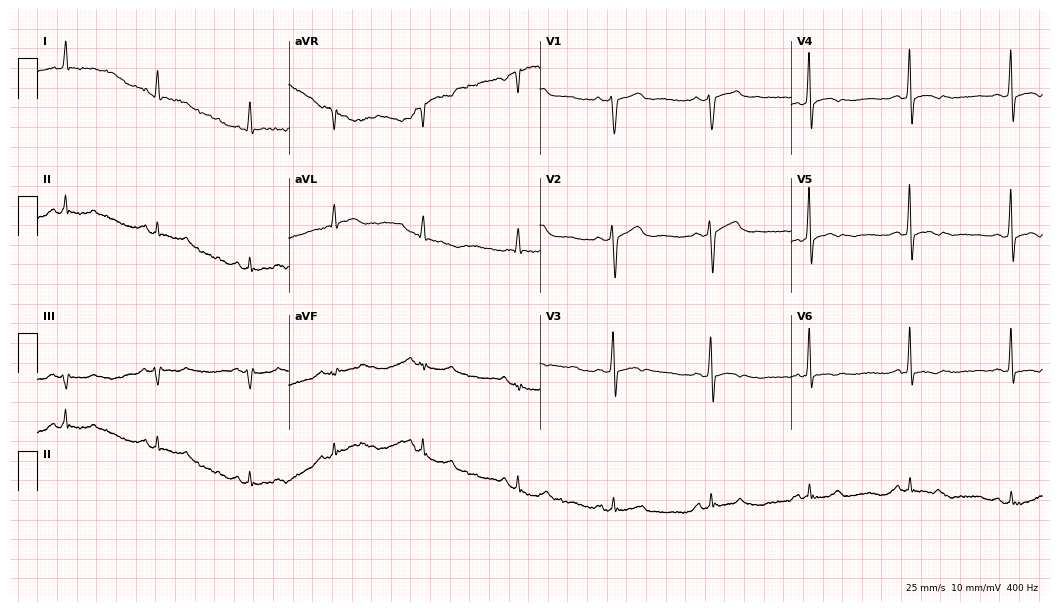
Resting 12-lead electrocardiogram (10.2-second recording at 400 Hz). Patient: a male, 64 years old. None of these six findings is recorded: first-degree AV block, right bundle branch block, left bundle branch block, sinus bradycardia, atrial fibrillation, sinus tachycardia.